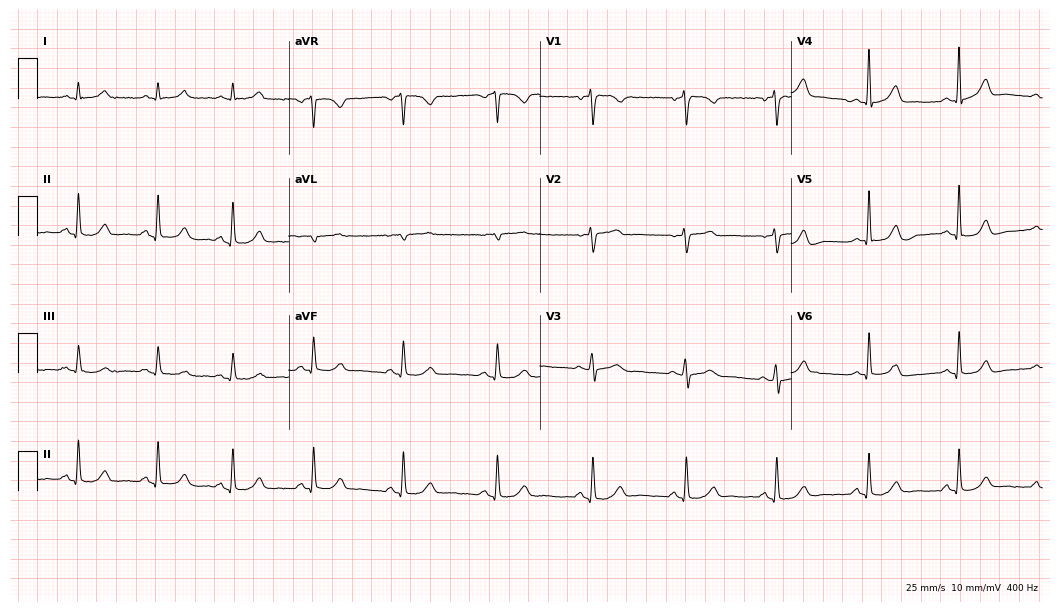
12-lead ECG (10.2-second recording at 400 Hz) from a 47-year-old female patient. Labelled as a normal ECG.